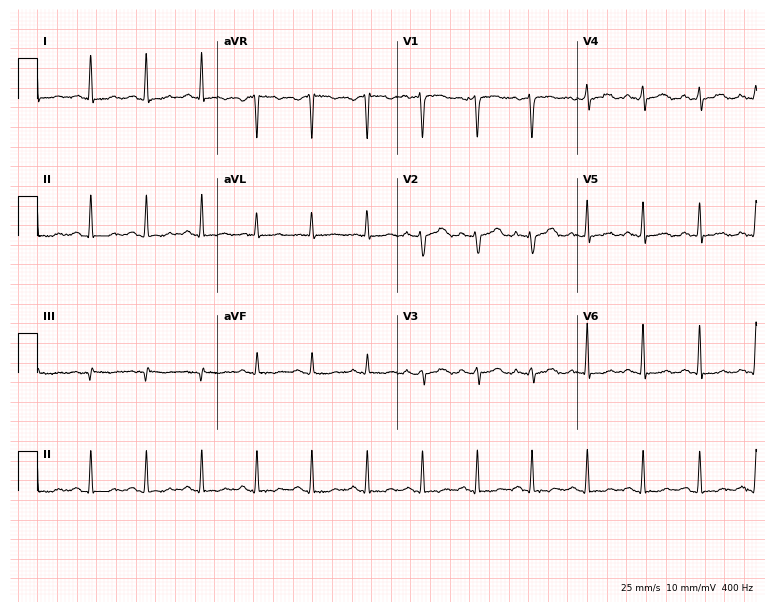
ECG — a 37-year-old female. Findings include sinus tachycardia (a sinus rate of 100 beats per minute or more).